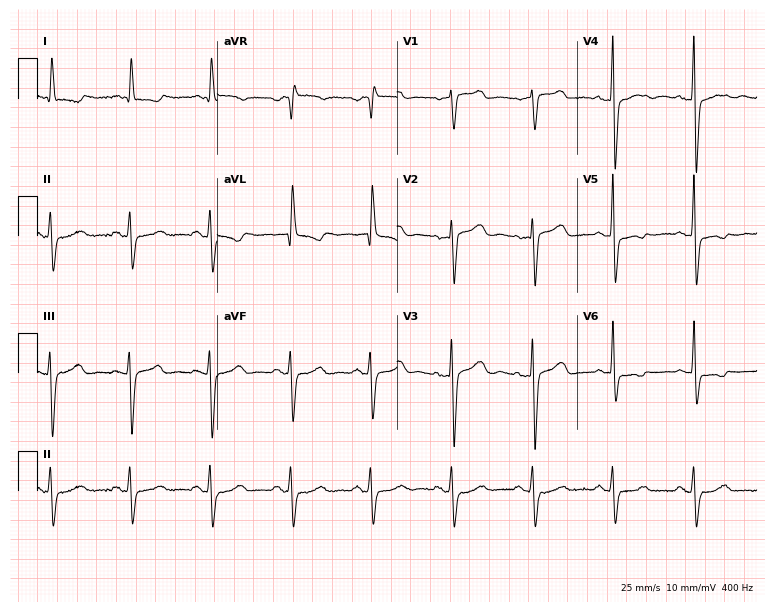
12-lead ECG (7.3-second recording at 400 Hz) from a woman, 84 years old. Screened for six findings — first-degree AV block, right bundle branch block, left bundle branch block, sinus bradycardia, atrial fibrillation, sinus tachycardia — none is recorded.